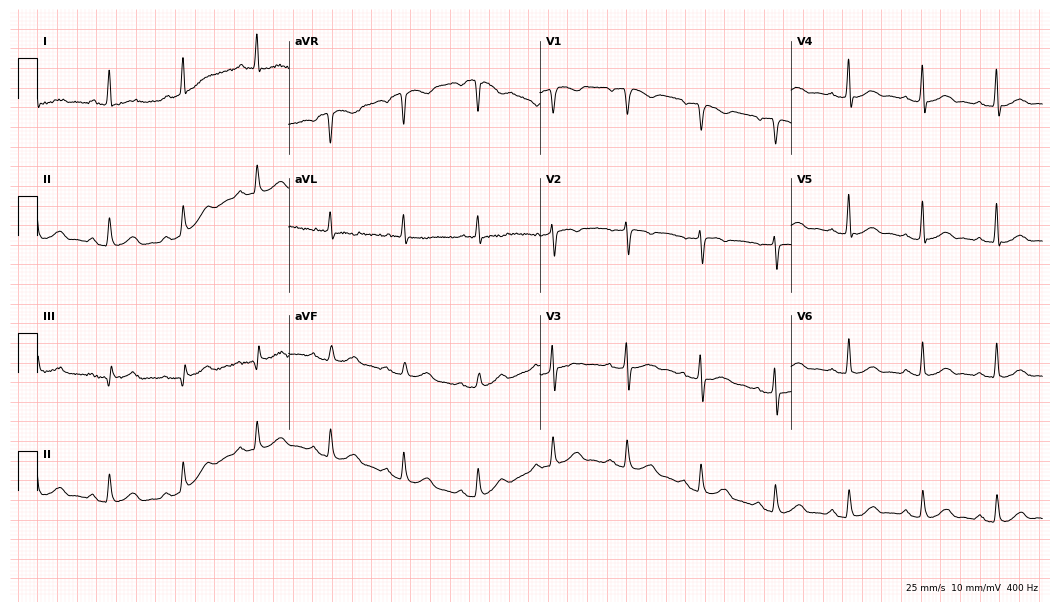
Standard 12-lead ECG recorded from a male, 80 years old. Read as a normal ECG.